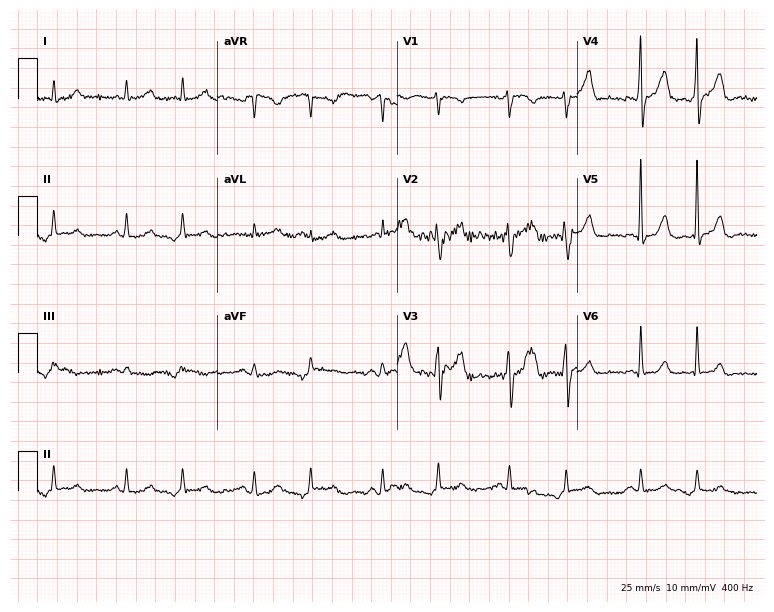
Resting 12-lead electrocardiogram. Patient: a male, 73 years old. None of these six findings is recorded: first-degree AV block, right bundle branch block (RBBB), left bundle branch block (LBBB), sinus bradycardia, atrial fibrillation (AF), sinus tachycardia. Other findings, if any, are not listed.